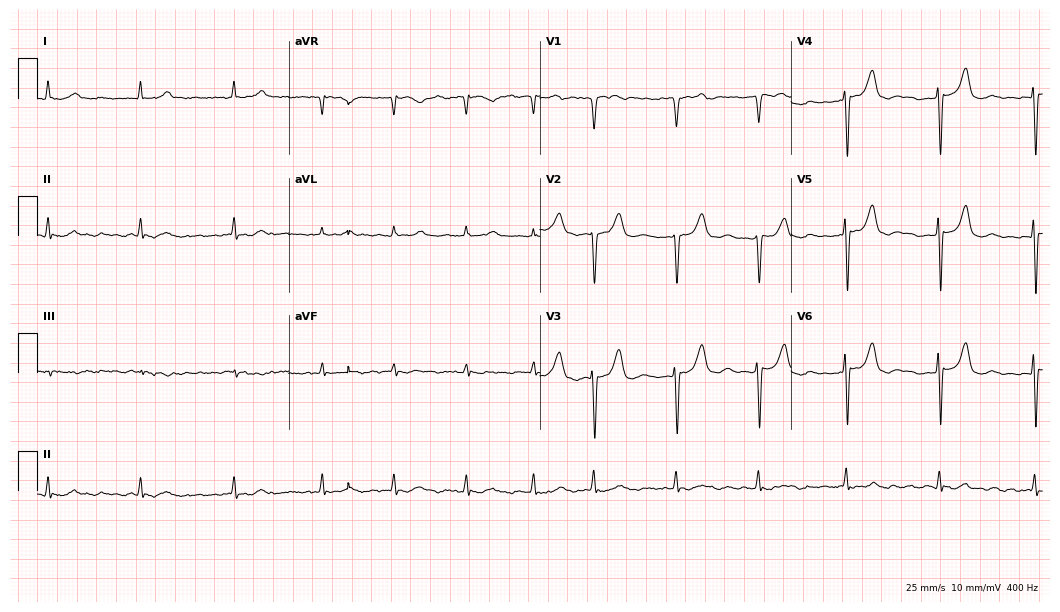
Electrocardiogram (10.2-second recording at 400 Hz), a 67-year-old man. Interpretation includes atrial fibrillation (AF).